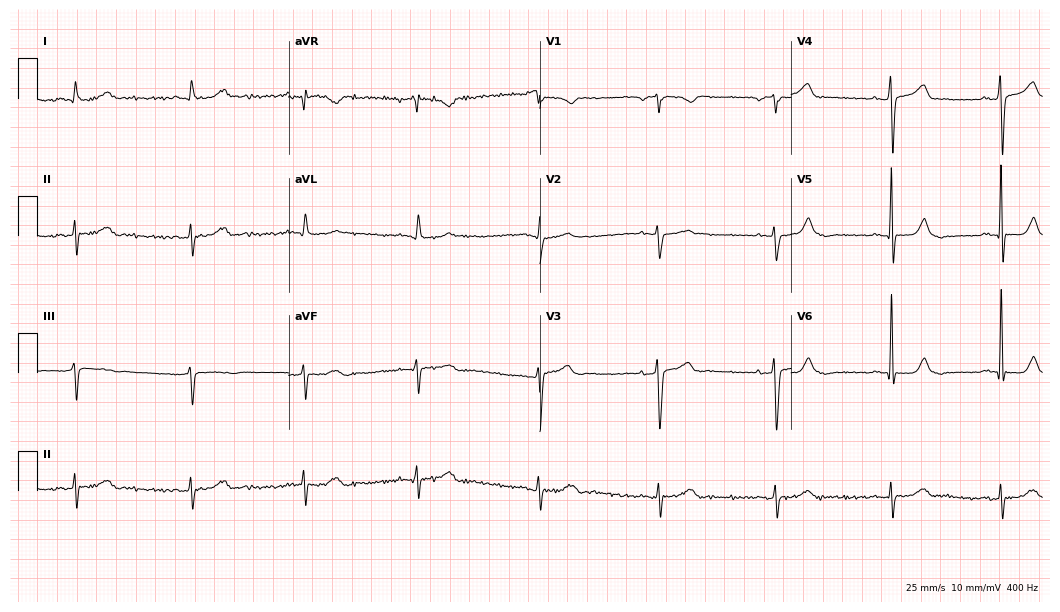
12-lead ECG (10.2-second recording at 400 Hz) from a woman, 71 years old. Screened for six findings — first-degree AV block, right bundle branch block (RBBB), left bundle branch block (LBBB), sinus bradycardia, atrial fibrillation (AF), sinus tachycardia — none is recorded.